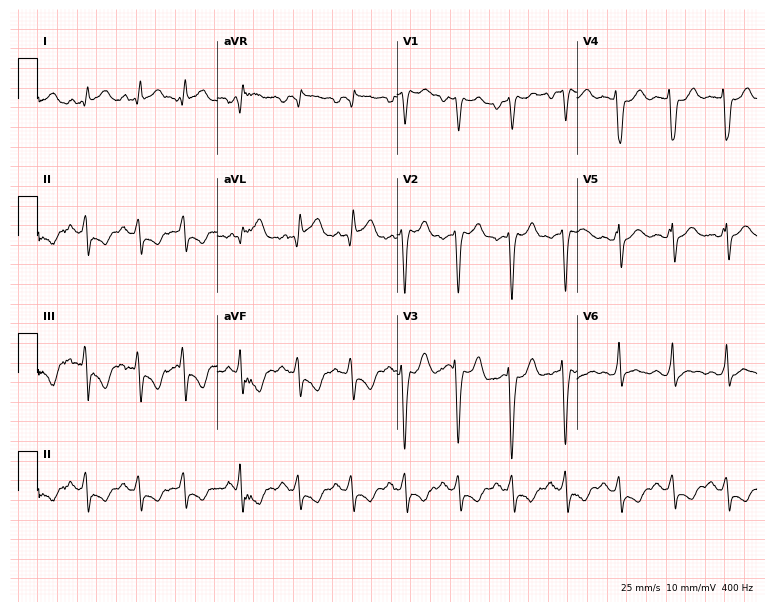
Electrocardiogram (7.3-second recording at 400 Hz), a 48-year-old male. Of the six screened findings (first-degree AV block, right bundle branch block, left bundle branch block, sinus bradycardia, atrial fibrillation, sinus tachycardia), none is recorded. Only these six findings were labelled.